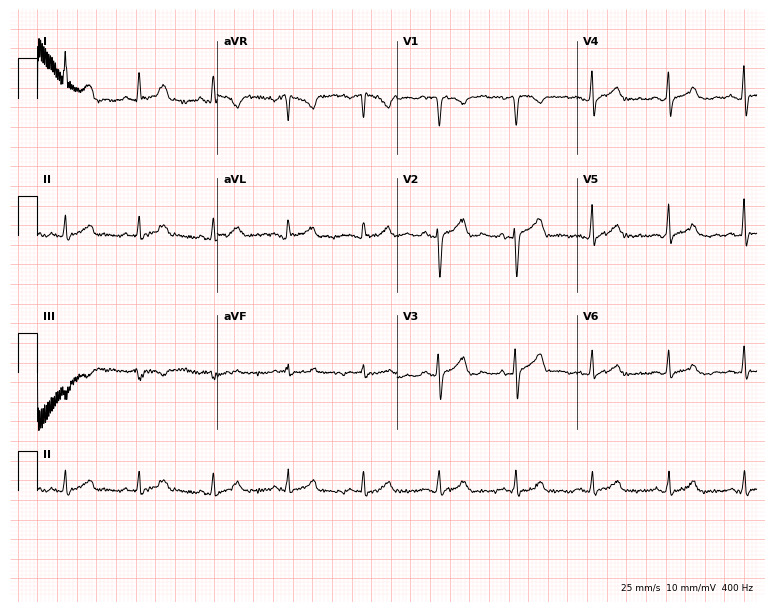
Standard 12-lead ECG recorded from a male, 45 years old (7.3-second recording at 400 Hz). None of these six findings is recorded: first-degree AV block, right bundle branch block, left bundle branch block, sinus bradycardia, atrial fibrillation, sinus tachycardia. Other findings, if any, are not listed.